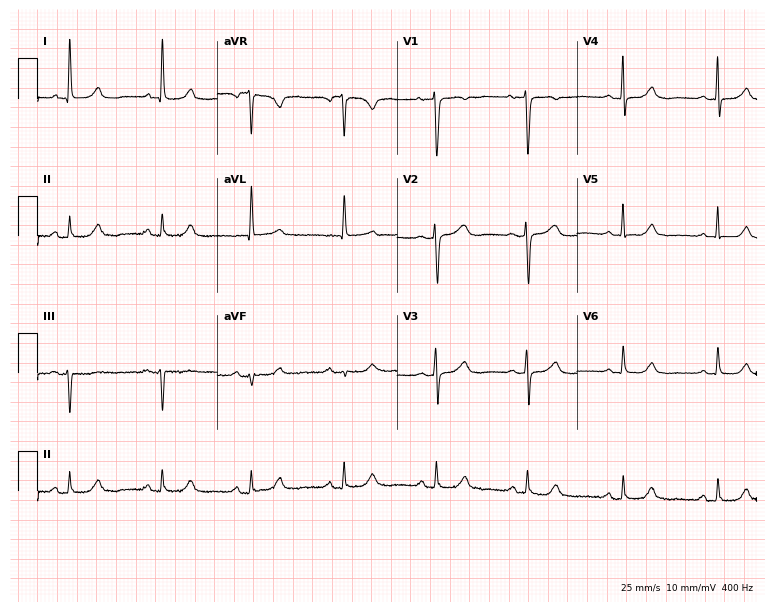
12-lead ECG from a 71-year-old female patient. Recorded interpretation: within normal limits.